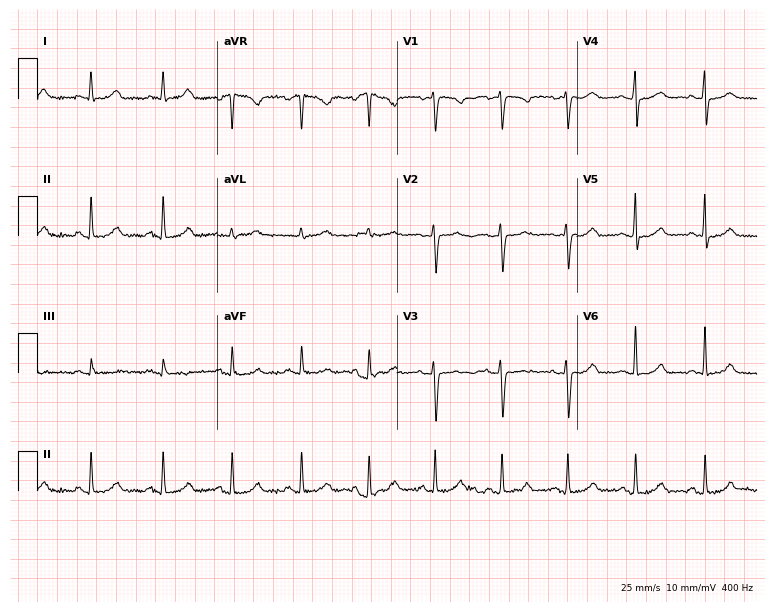
ECG — a female, 35 years old. Labelled as a normal ECG.